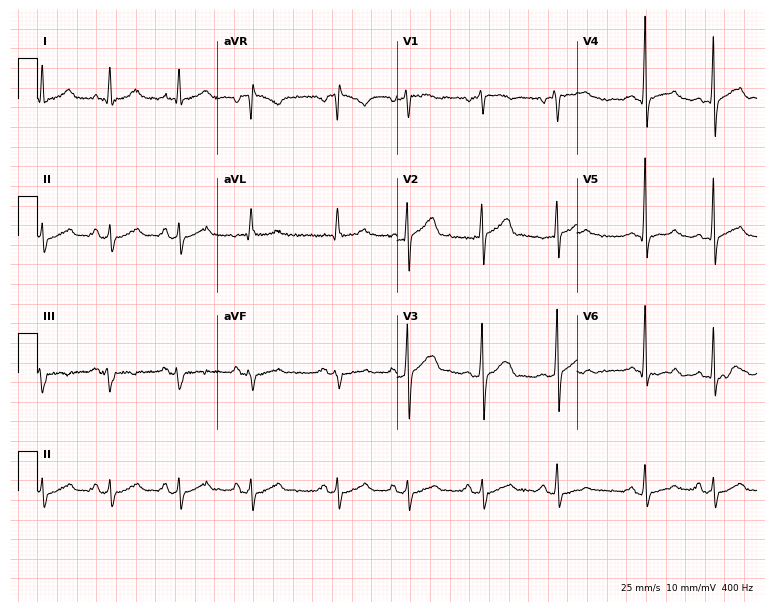
Resting 12-lead electrocardiogram. Patient: a 55-year-old male. None of these six findings is recorded: first-degree AV block, right bundle branch block, left bundle branch block, sinus bradycardia, atrial fibrillation, sinus tachycardia. Other findings, if any, are not listed.